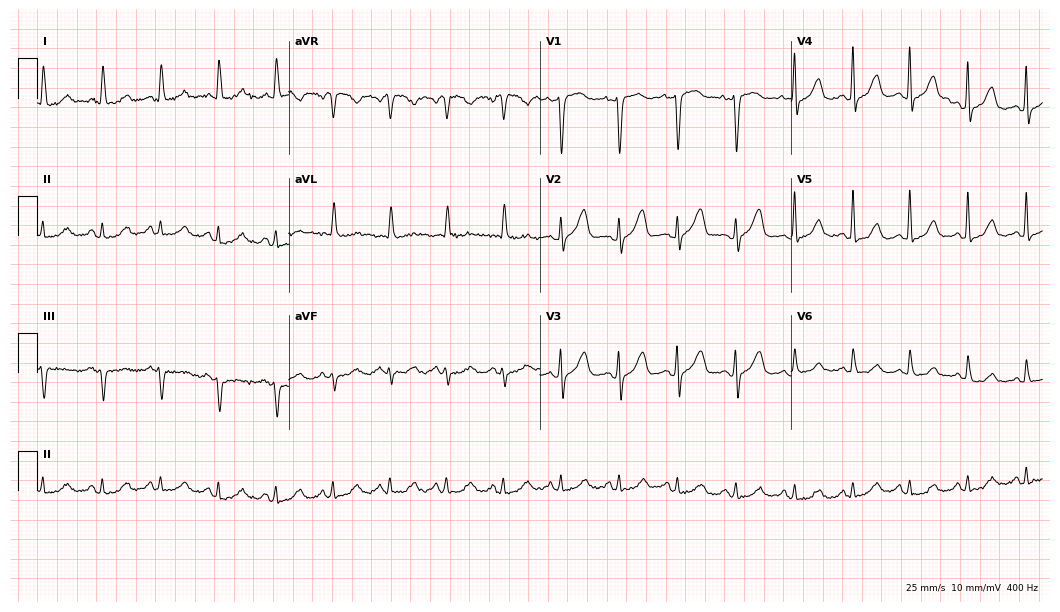
12-lead ECG from a 68-year-old female. Shows sinus tachycardia (a sinus rate of 100 beats per minute or more).